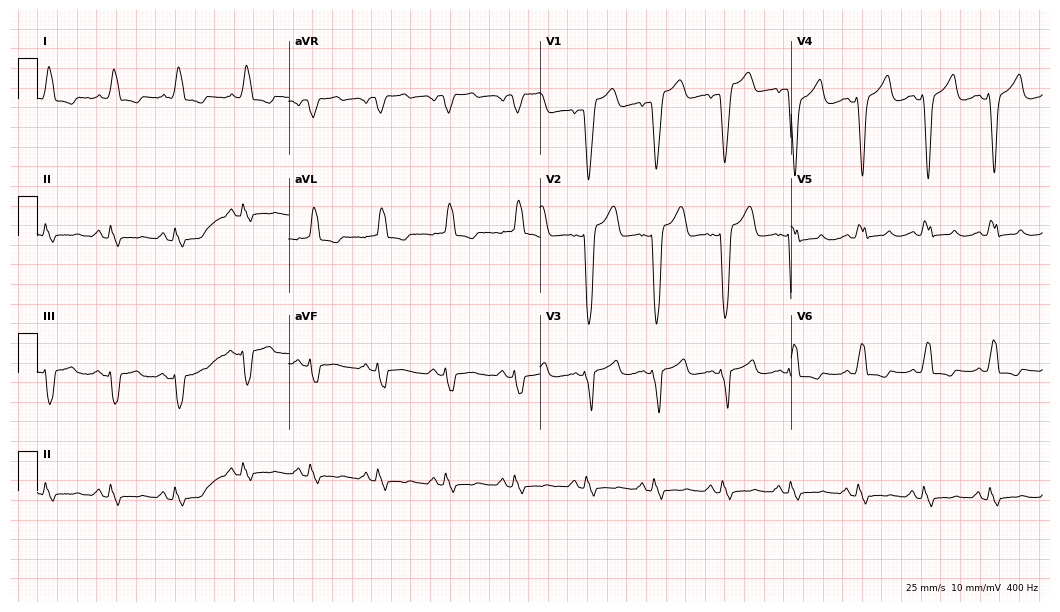
Standard 12-lead ECG recorded from a female patient, 65 years old. The tracing shows left bundle branch block (LBBB).